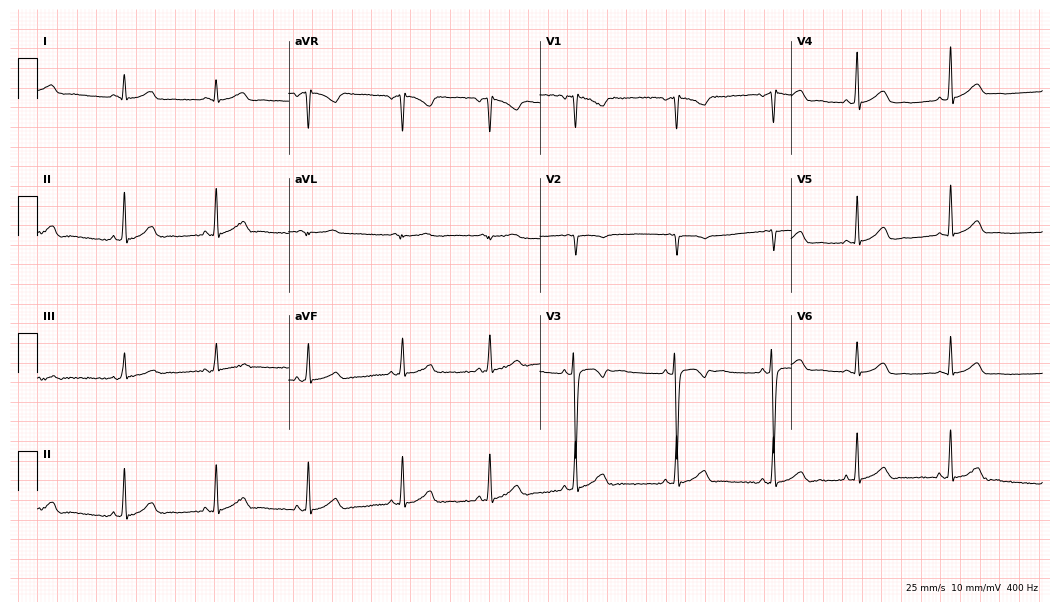
Standard 12-lead ECG recorded from a woman, 19 years old. None of these six findings is recorded: first-degree AV block, right bundle branch block, left bundle branch block, sinus bradycardia, atrial fibrillation, sinus tachycardia. Findings outside these six are not listed.